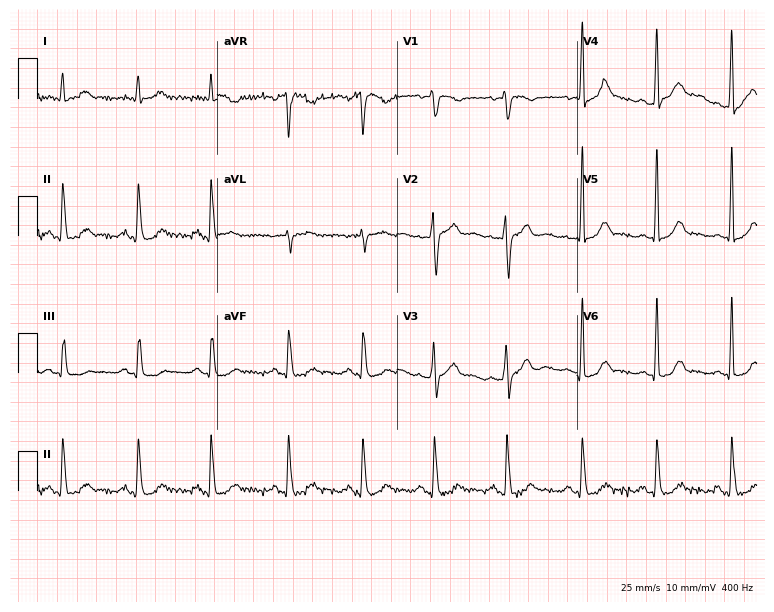
ECG (7.3-second recording at 400 Hz) — a 43-year-old man. Labelled as a normal ECG.